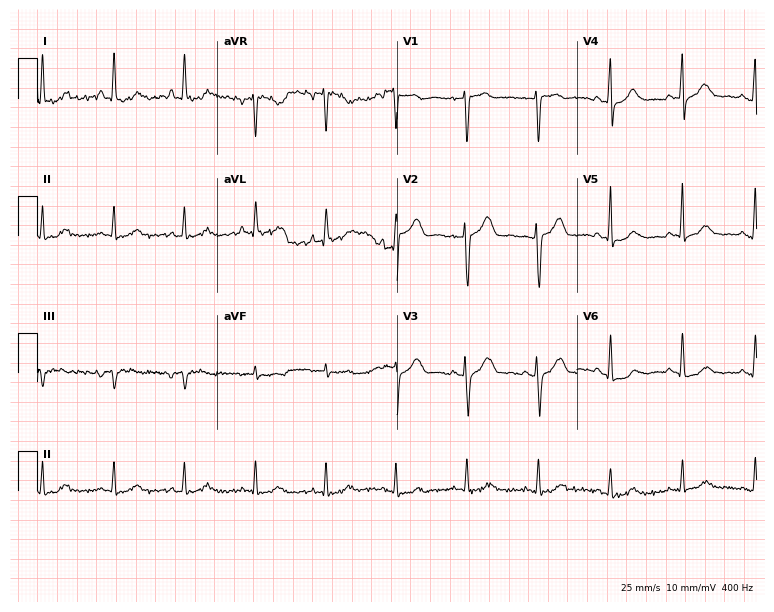
12-lead ECG (7.3-second recording at 400 Hz) from a female, 58 years old. Screened for six findings — first-degree AV block, right bundle branch block, left bundle branch block, sinus bradycardia, atrial fibrillation, sinus tachycardia — none is recorded. Only these six findings were labelled.